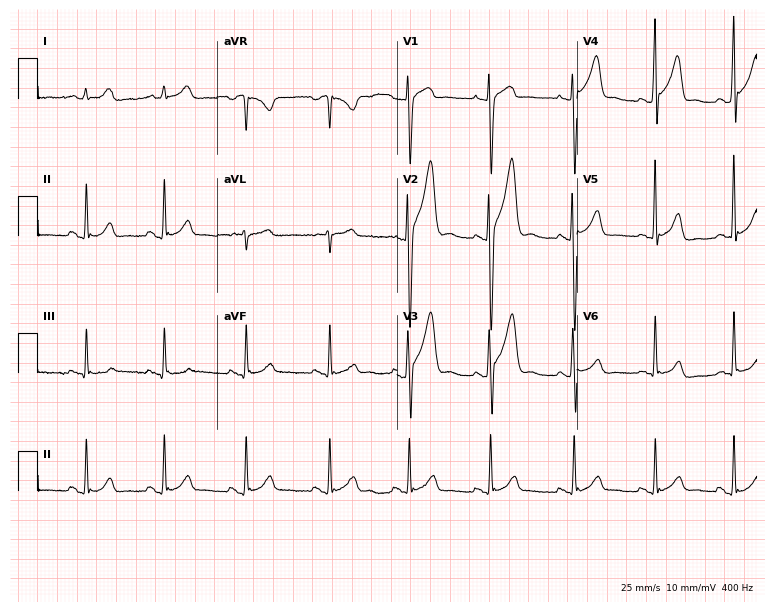
Electrocardiogram, a 27-year-old male. Of the six screened findings (first-degree AV block, right bundle branch block, left bundle branch block, sinus bradycardia, atrial fibrillation, sinus tachycardia), none is recorded. Findings outside these six are not listed.